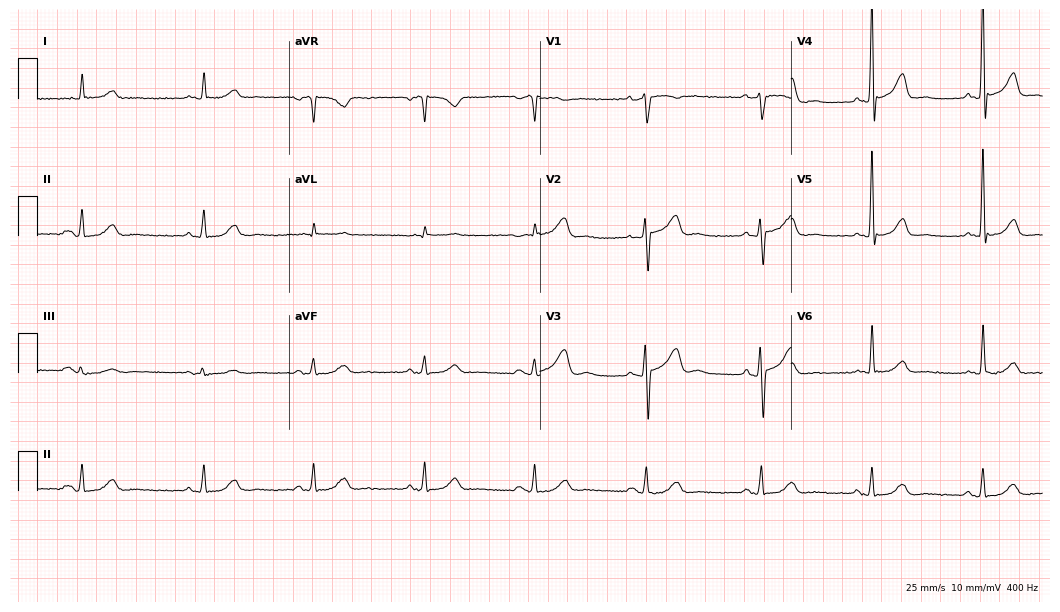
12-lead ECG from a man, 70 years old. No first-degree AV block, right bundle branch block, left bundle branch block, sinus bradycardia, atrial fibrillation or sinus tachycardia recorded for this tracing.